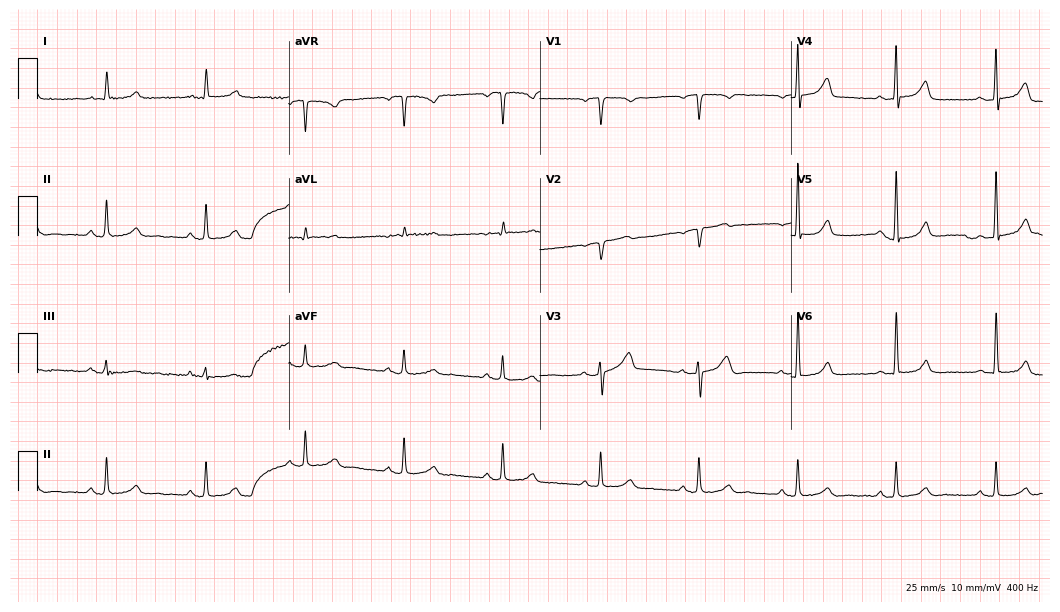
12-lead ECG from a 73-year-old female (10.2-second recording at 400 Hz). No first-degree AV block, right bundle branch block, left bundle branch block, sinus bradycardia, atrial fibrillation or sinus tachycardia recorded for this tracing.